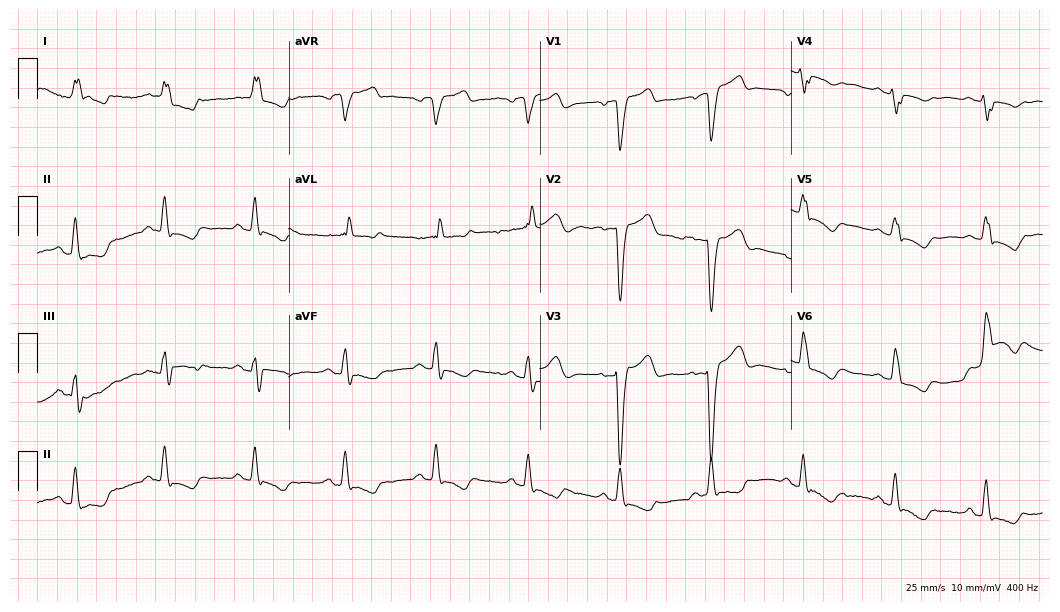
Standard 12-lead ECG recorded from a female, 79 years old (10.2-second recording at 400 Hz). The tracing shows left bundle branch block.